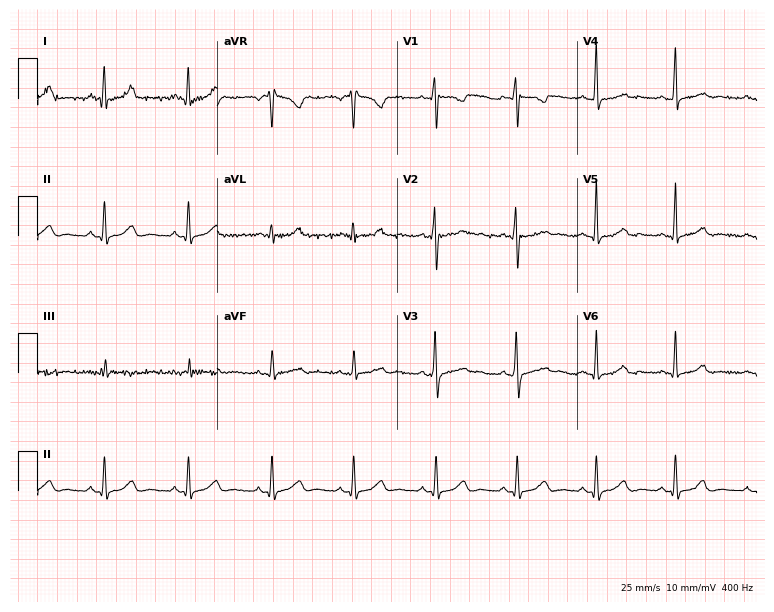
Standard 12-lead ECG recorded from a female patient, 20 years old. None of these six findings is recorded: first-degree AV block, right bundle branch block (RBBB), left bundle branch block (LBBB), sinus bradycardia, atrial fibrillation (AF), sinus tachycardia.